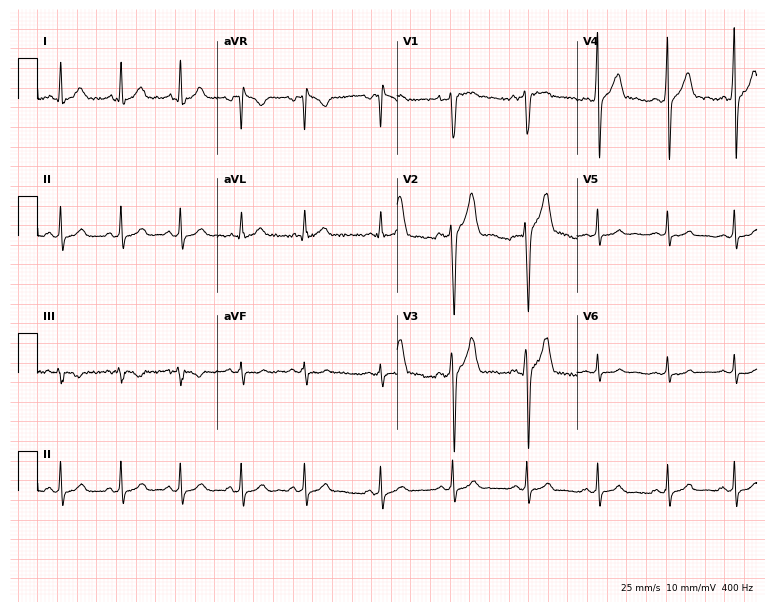
12-lead ECG (7.3-second recording at 400 Hz) from a 33-year-old male patient. Screened for six findings — first-degree AV block, right bundle branch block, left bundle branch block, sinus bradycardia, atrial fibrillation, sinus tachycardia — none is recorded. Other findings, if any, are not listed.